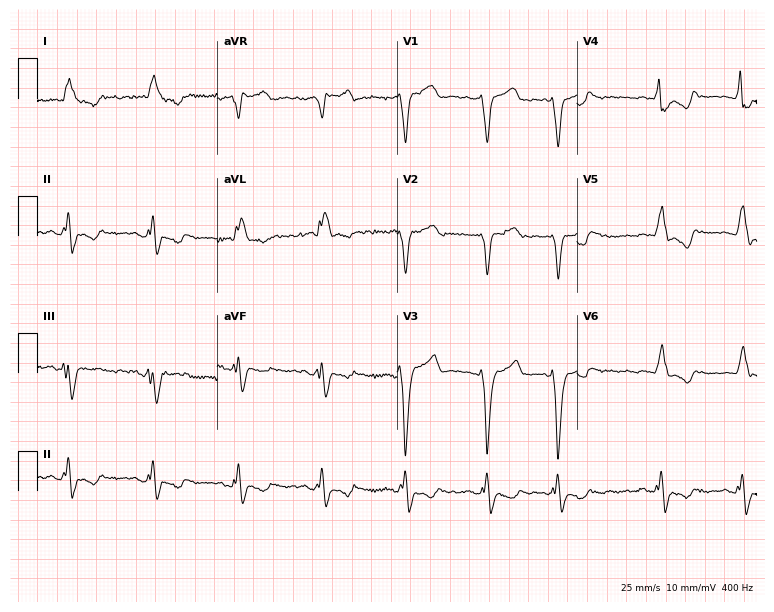
12-lead ECG (7.3-second recording at 400 Hz) from a female, 74 years old. Findings include left bundle branch block.